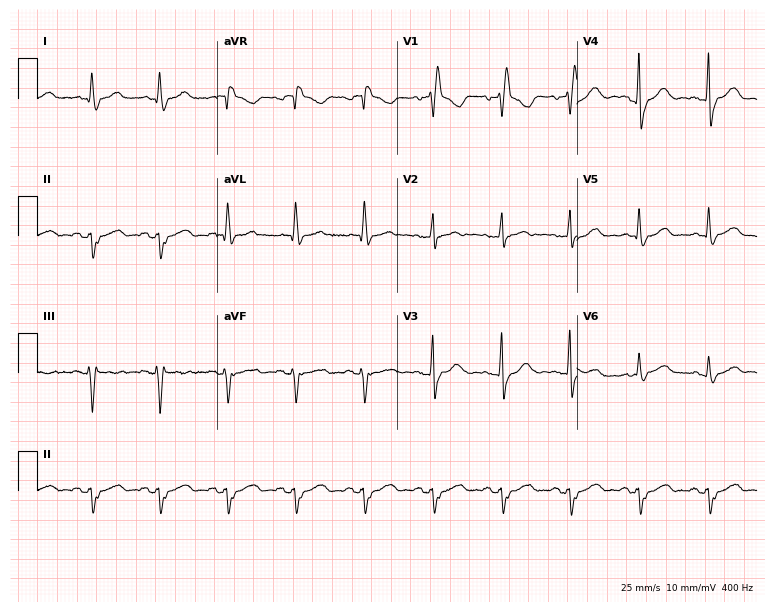
12-lead ECG (7.3-second recording at 400 Hz) from a 79-year-old male. Findings include right bundle branch block.